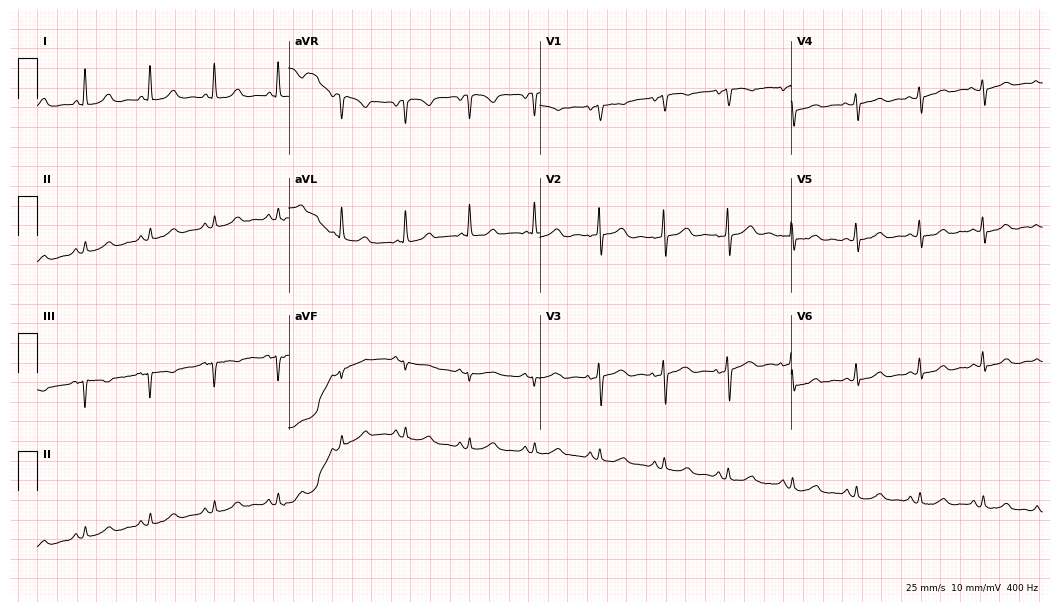
12-lead ECG from a 67-year-old woman. Screened for six findings — first-degree AV block, right bundle branch block, left bundle branch block, sinus bradycardia, atrial fibrillation, sinus tachycardia — none is recorded.